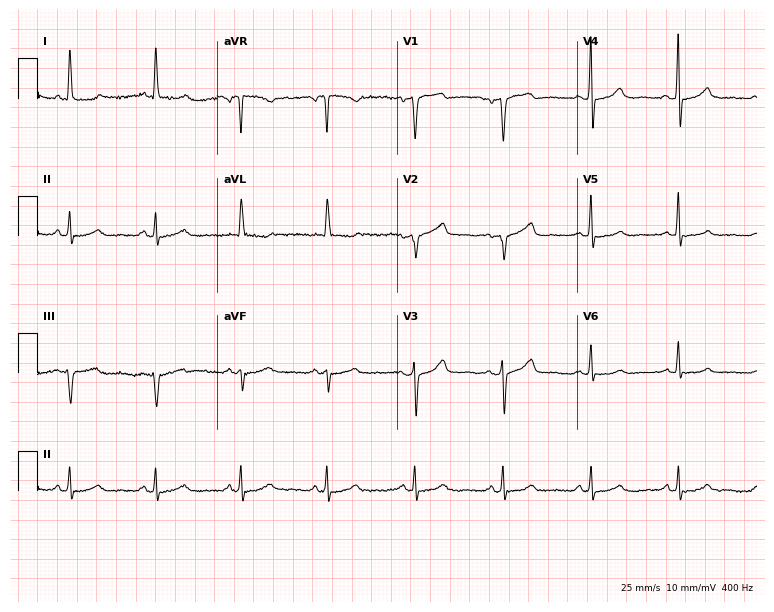
Resting 12-lead electrocardiogram. Patient: a female, 66 years old. None of these six findings is recorded: first-degree AV block, right bundle branch block (RBBB), left bundle branch block (LBBB), sinus bradycardia, atrial fibrillation (AF), sinus tachycardia.